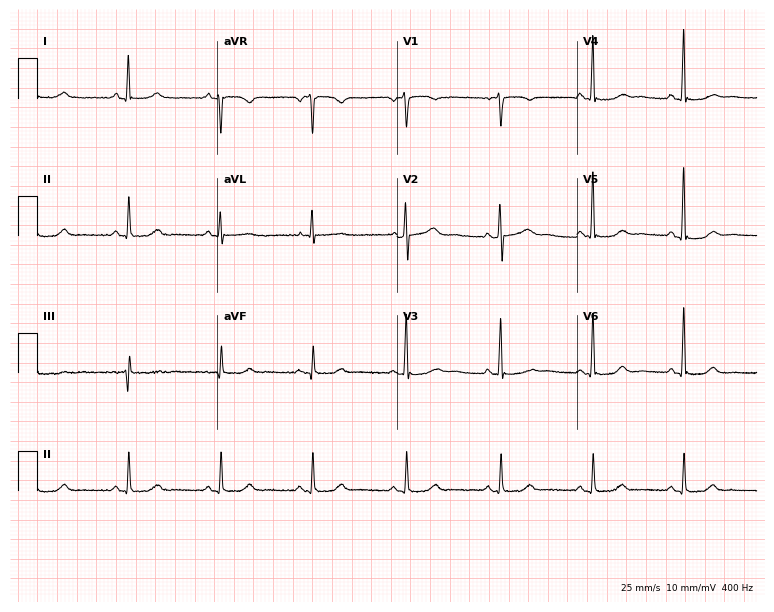
ECG — a female patient, 66 years old. Labelled as a normal ECG.